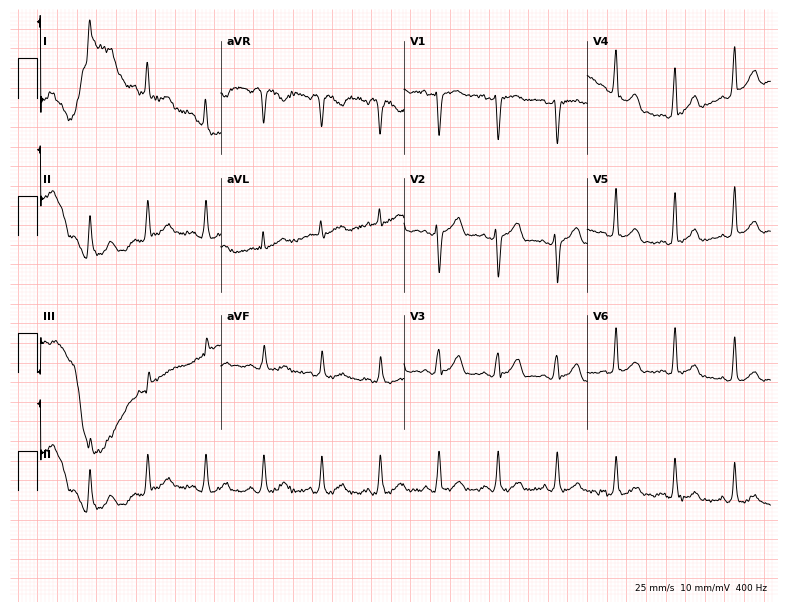
Resting 12-lead electrocardiogram (7.5-second recording at 400 Hz). Patient: a female, 53 years old. The tracing shows sinus tachycardia (a sinus rate of 100 beats per minute or more).